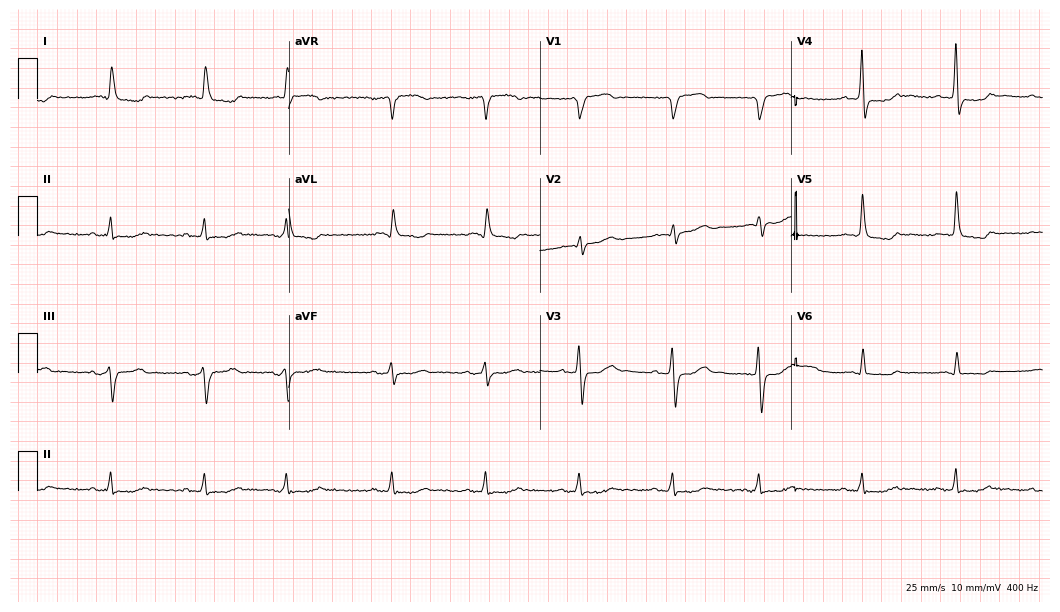
ECG — a man, 80 years old. Screened for six findings — first-degree AV block, right bundle branch block (RBBB), left bundle branch block (LBBB), sinus bradycardia, atrial fibrillation (AF), sinus tachycardia — none is recorded.